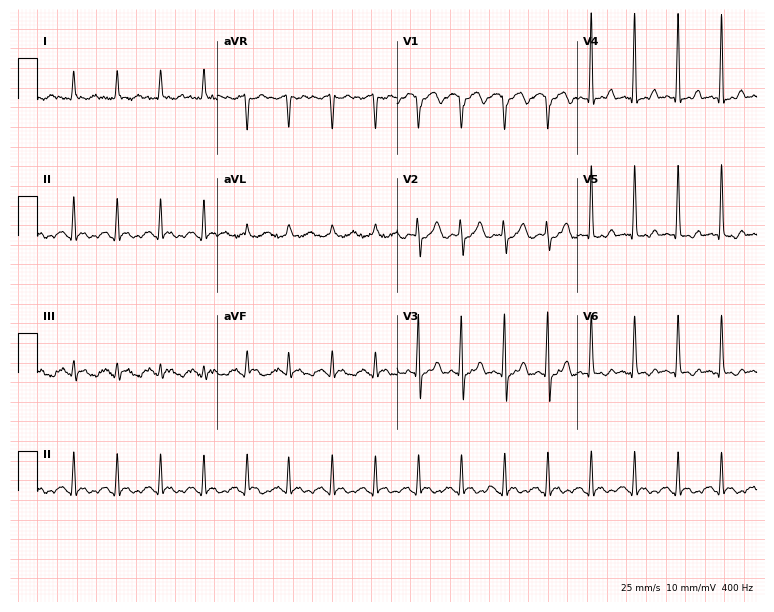
12-lead ECG from a 77-year-old female. Screened for six findings — first-degree AV block, right bundle branch block, left bundle branch block, sinus bradycardia, atrial fibrillation, sinus tachycardia — none is recorded. Only these six findings were labelled.